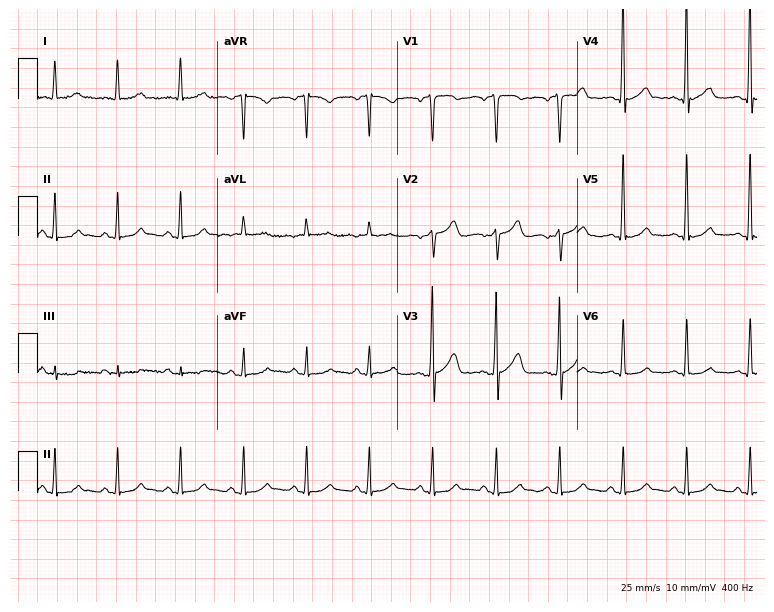
Standard 12-lead ECG recorded from a 62-year-old male patient (7.3-second recording at 400 Hz). Read as a normal ECG.